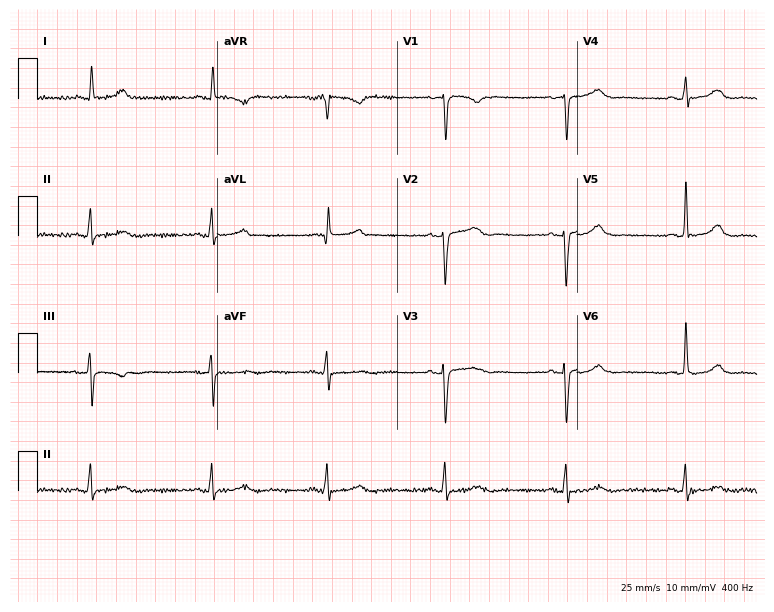
Standard 12-lead ECG recorded from a 65-year-old female patient. None of these six findings is recorded: first-degree AV block, right bundle branch block, left bundle branch block, sinus bradycardia, atrial fibrillation, sinus tachycardia. Other findings, if any, are not listed.